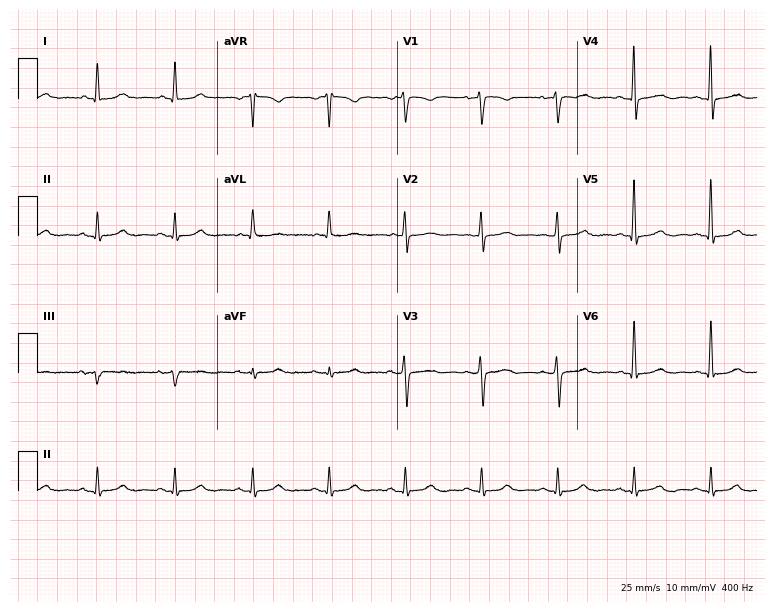
Electrocardiogram, a 44-year-old female. Overall reading on record: normal ECG.